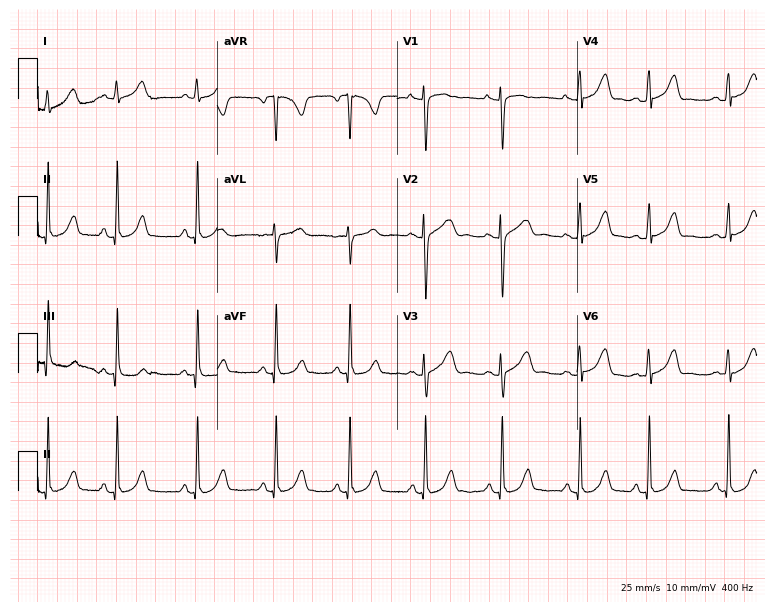
12-lead ECG from a female patient, 24 years old (7.3-second recording at 400 Hz). No first-degree AV block, right bundle branch block, left bundle branch block, sinus bradycardia, atrial fibrillation or sinus tachycardia recorded for this tracing. Other findings, if any, are not listed.